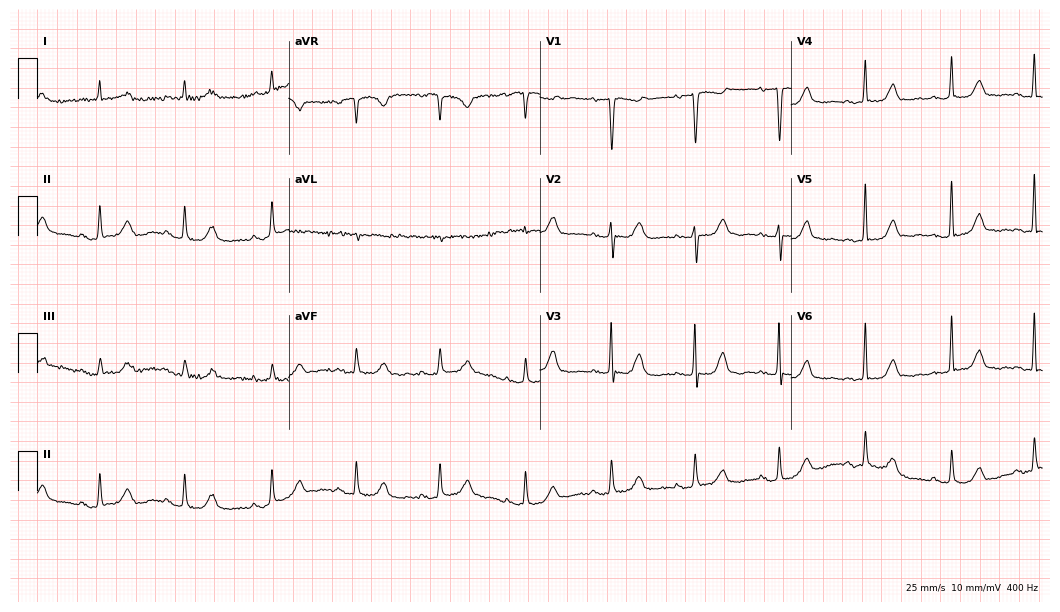
Standard 12-lead ECG recorded from a woman, 84 years old (10.2-second recording at 400 Hz). Read as a normal ECG.